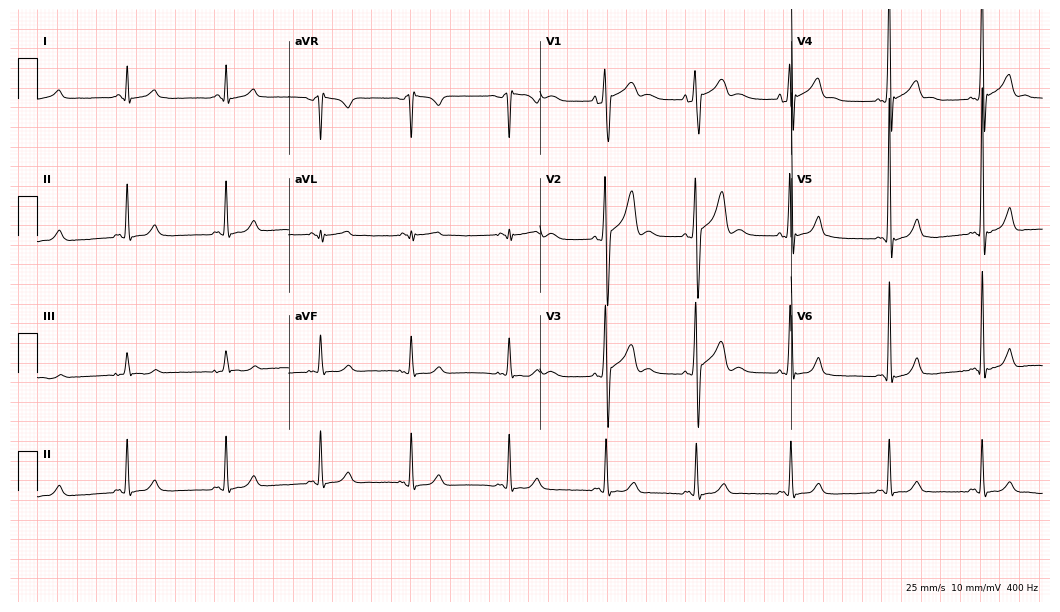
12-lead ECG from a 21-year-old male patient (10.2-second recording at 400 Hz). No first-degree AV block, right bundle branch block (RBBB), left bundle branch block (LBBB), sinus bradycardia, atrial fibrillation (AF) or sinus tachycardia recorded for this tracing.